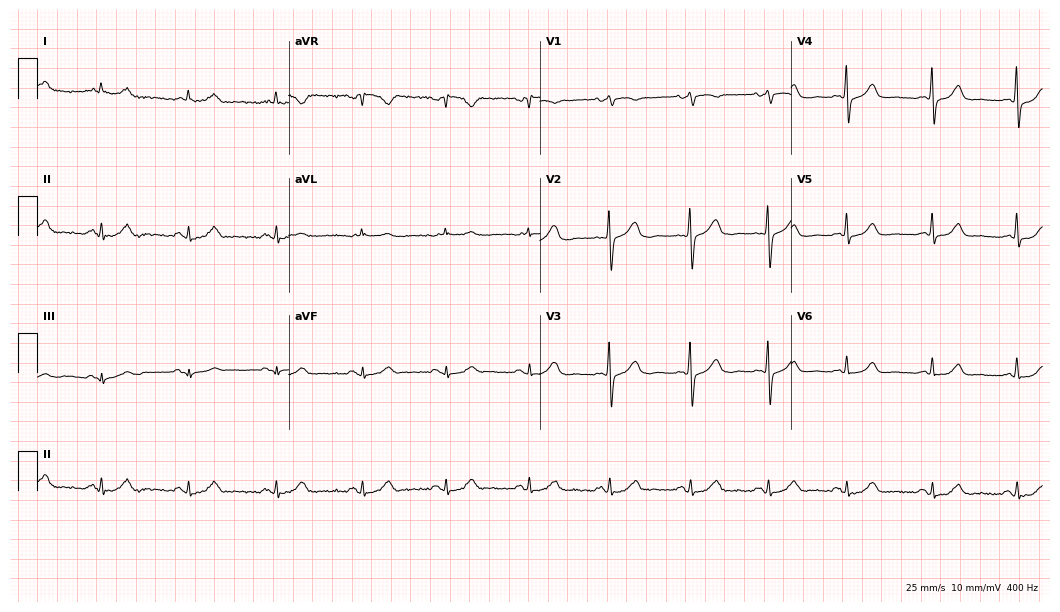
12-lead ECG from a female, 64 years old (10.2-second recording at 400 Hz). Recorded interpretation: within normal limits.